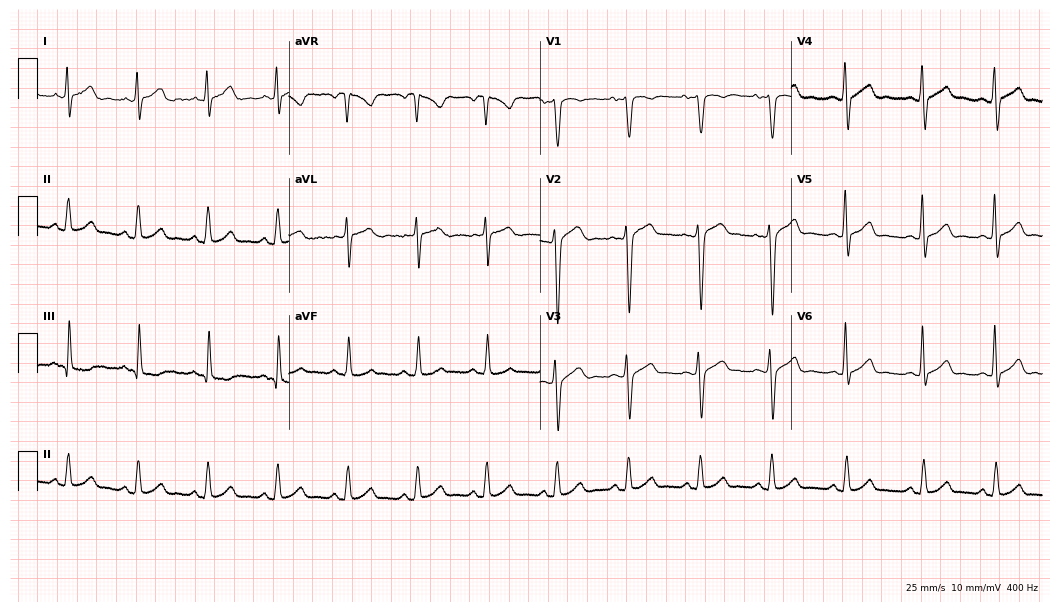
Electrocardiogram (10.2-second recording at 400 Hz), a male patient, 36 years old. Overall reading on record: normal ECG.